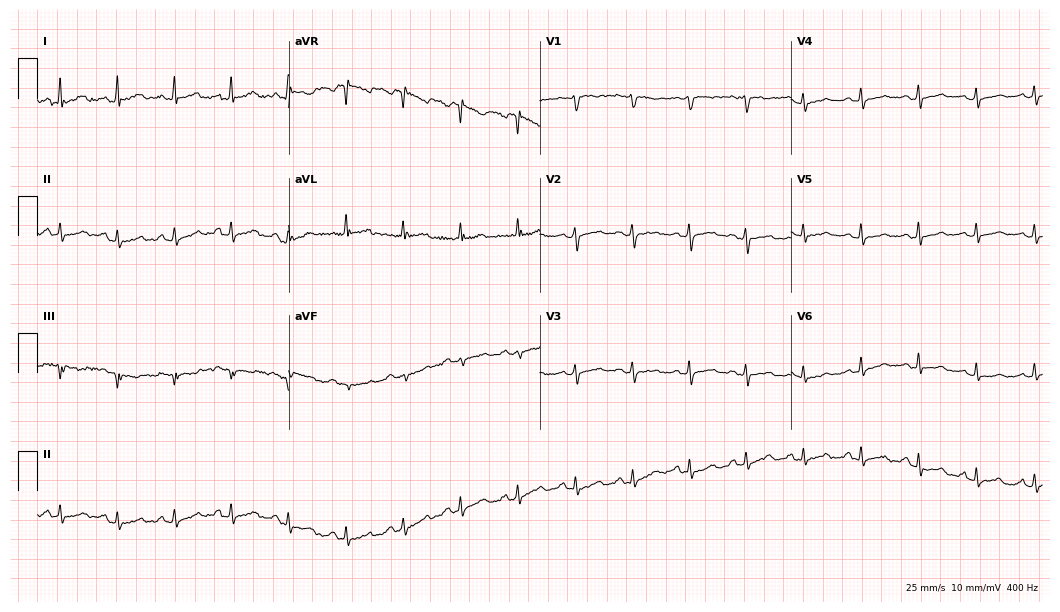
12-lead ECG (10.2-second recording at 400 Hz) from a female patient, 40 years old. Findings include sinus tachycardia (a sinus rate of 100 beats per minute or more).